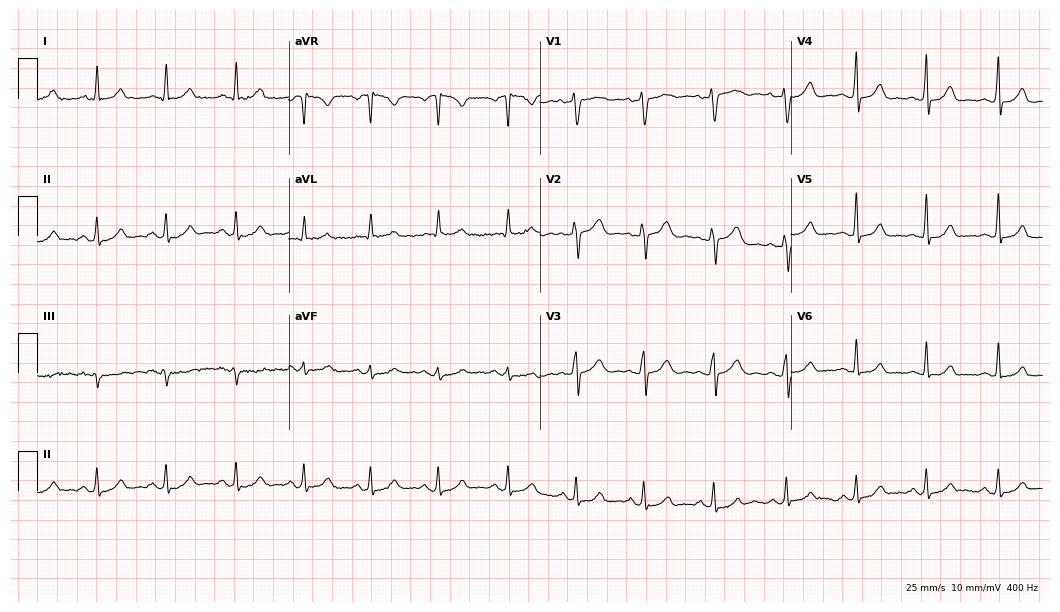
ECG — a 39-year-old woman. Labelled as a normal ECG.